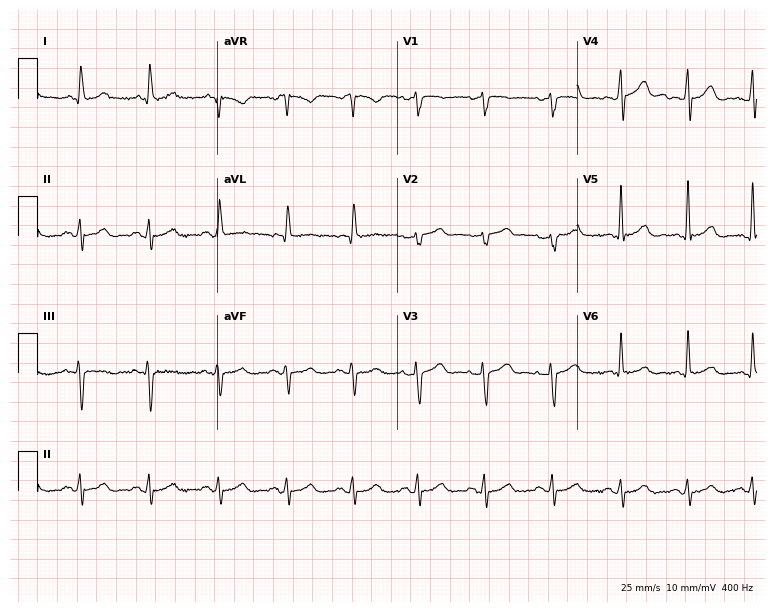
Standard 12-lead ECG recorded from a female patient, 76 years old. None of these six findings is recorded: first-degree AV block, right bundle branch block, left bundle branch block, sinus bradycardia, atrial fibrillation, sinus tachycardia.